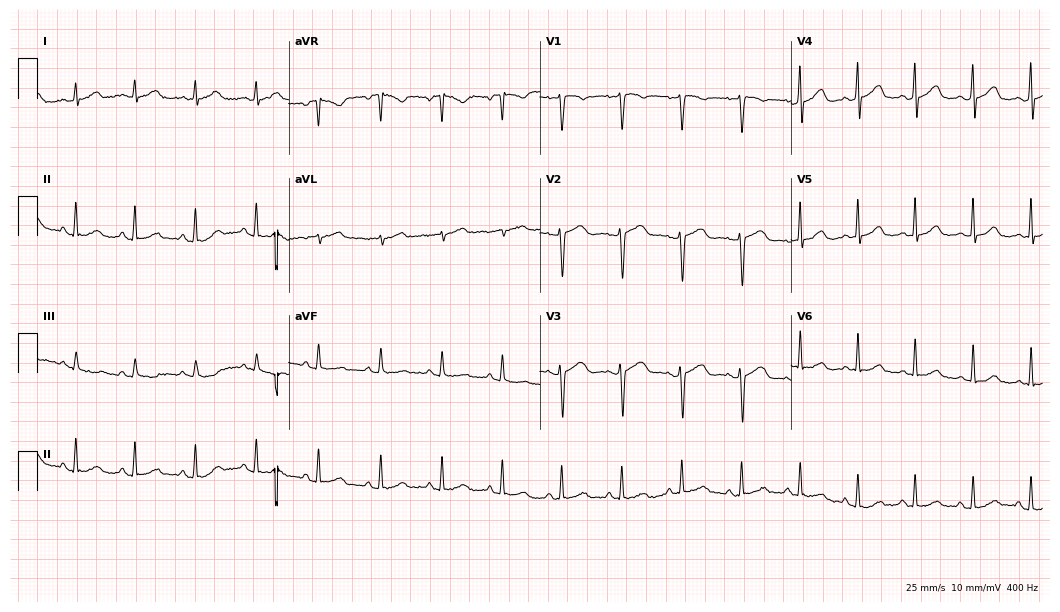
ECG — a female, 40 years old. Screened for six findings — first-degree AV block, right bundle branch block, left bundle branch block, sinus bradycardia, atrial fibrillation, sinus tachycardia — none is recorded.